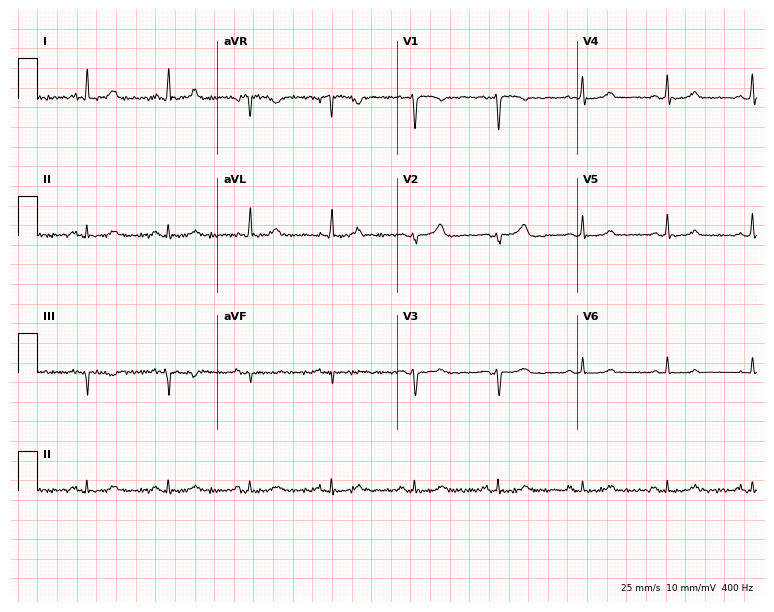
Electrocardiogram, a 50-year-old woman. Overall reading on record: normal ECG.